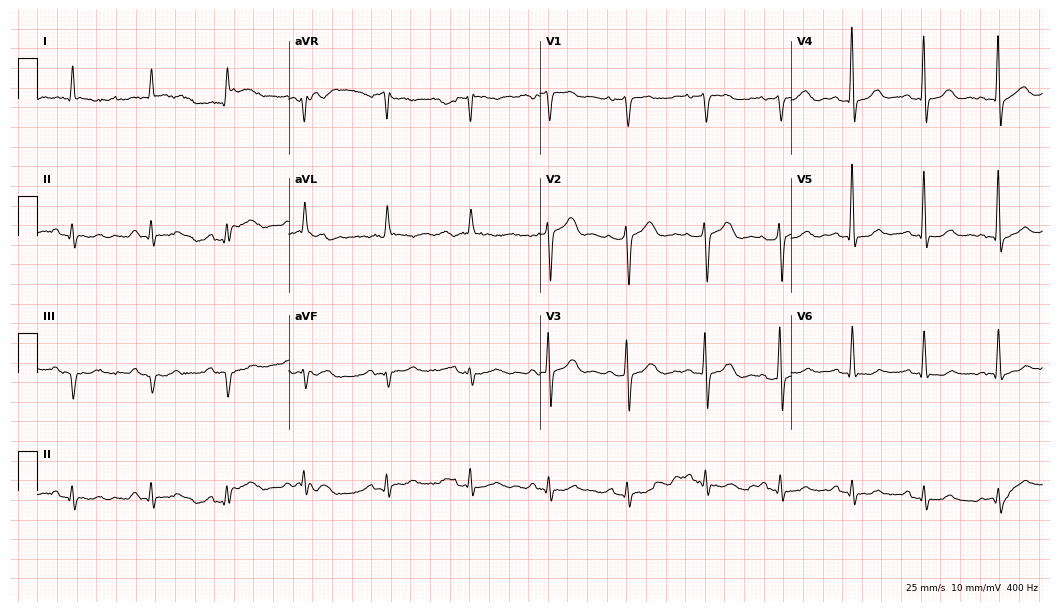
12-lead ECG from an 83-year-old male. Recorded interpretation: within normal limits.